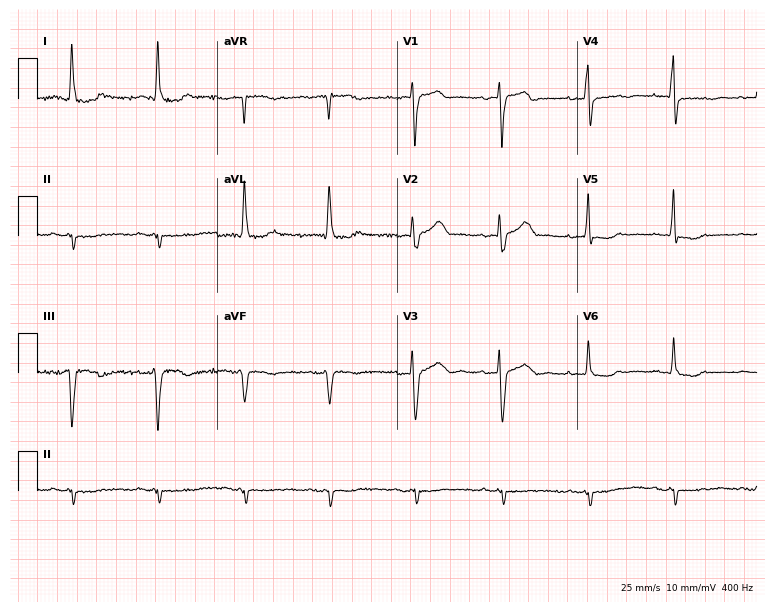
12-lead ECG from an 81-year-old female patient. No first-degree AV block, right bundle branch block, left bundle branch block, sinus bradycardia, atrial fibrillation or sinus tachycardia recorded for this tracing. Only these six findings were labelled.